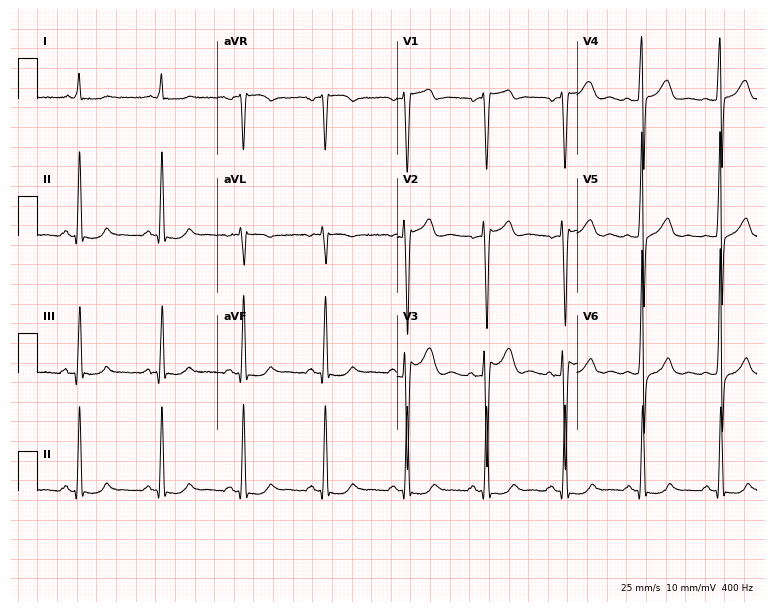
12-lead ECG (7.3-second recording at 400 Hz) from a 52-year-old male patient. Labelled as a normal ECG.